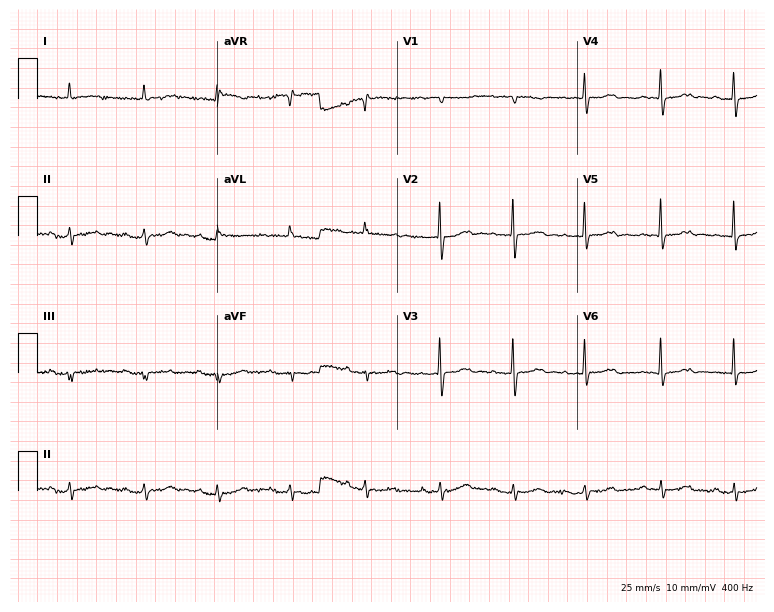
12-lead ECG (7.3-second recording at 400 Hz) from a female patient, 77 years old. Screened for six findings — first-degree AV block, right bundle branch block (RBBB), left bundle branch block (LBBB), sinus bradycardia, atrial fibrillation (AF), sinus tachycardia — none is recorded.